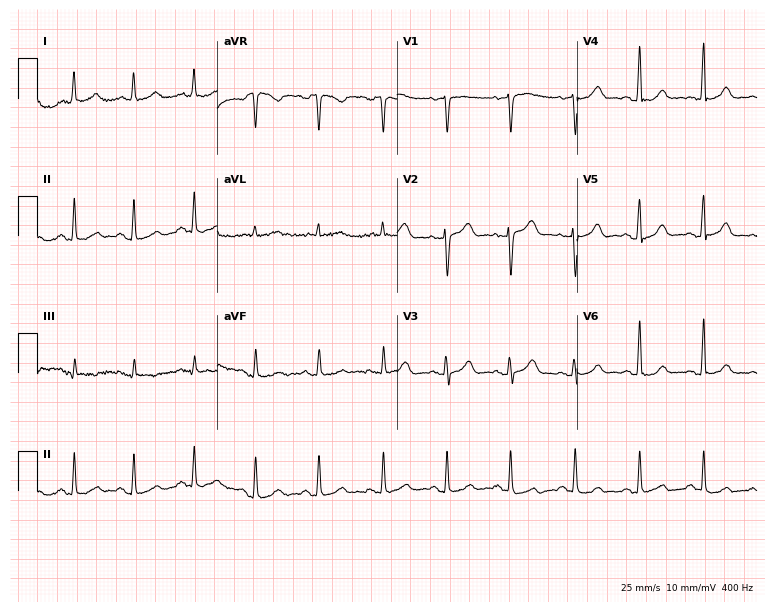
12-lead ECG from a female patient, 40 years old. Recorded interpretation: within normal limits.